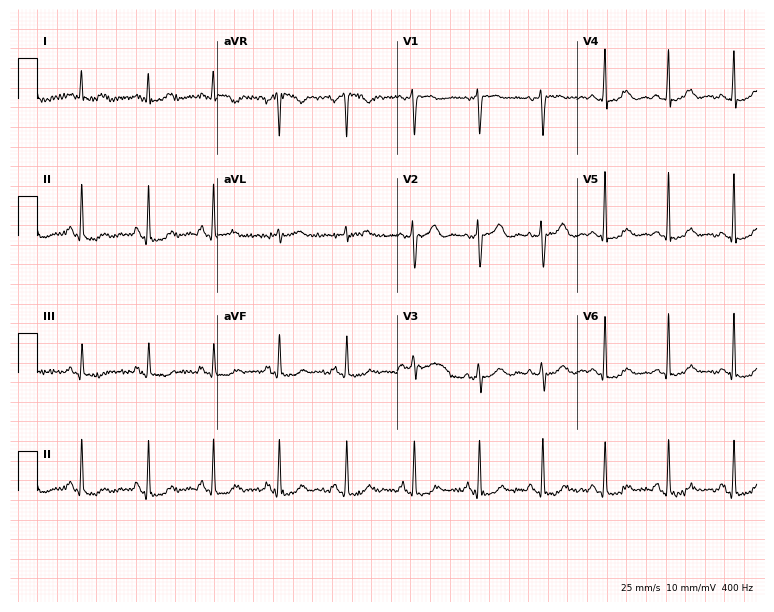
Standard 12-lead ECG recorded from a 50-year-old female patient. None of these six findings is recorded: first-degree AV block, right bundle branch block, left bundle branch block, sinus bradycardia, atrial fibrillation, sinus tachycardia.